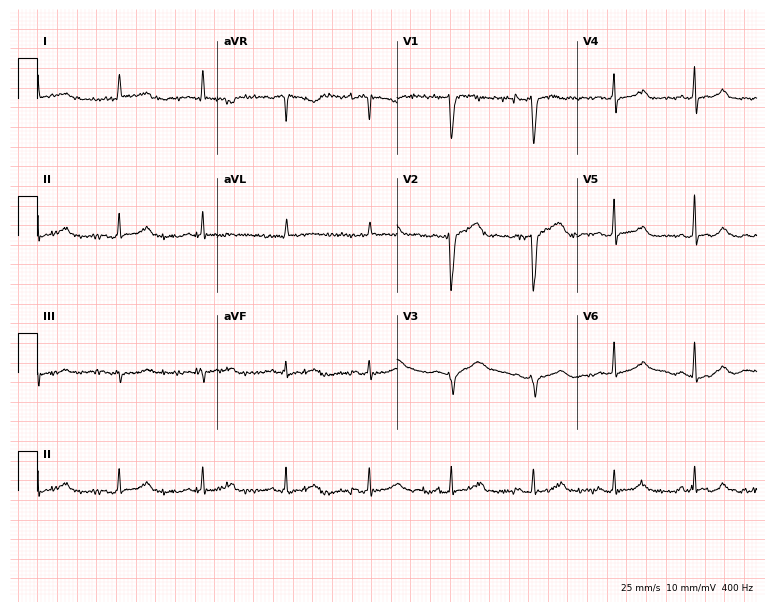
ECG — an 84-year-old female patient. Screened for six findings — first-degree AV block, right bundle branch block (RBBB), left bundle branch block (LBBB), sinus bradycardia, atrial fibrillation (AF), sinus tachycardia — none is recorded.